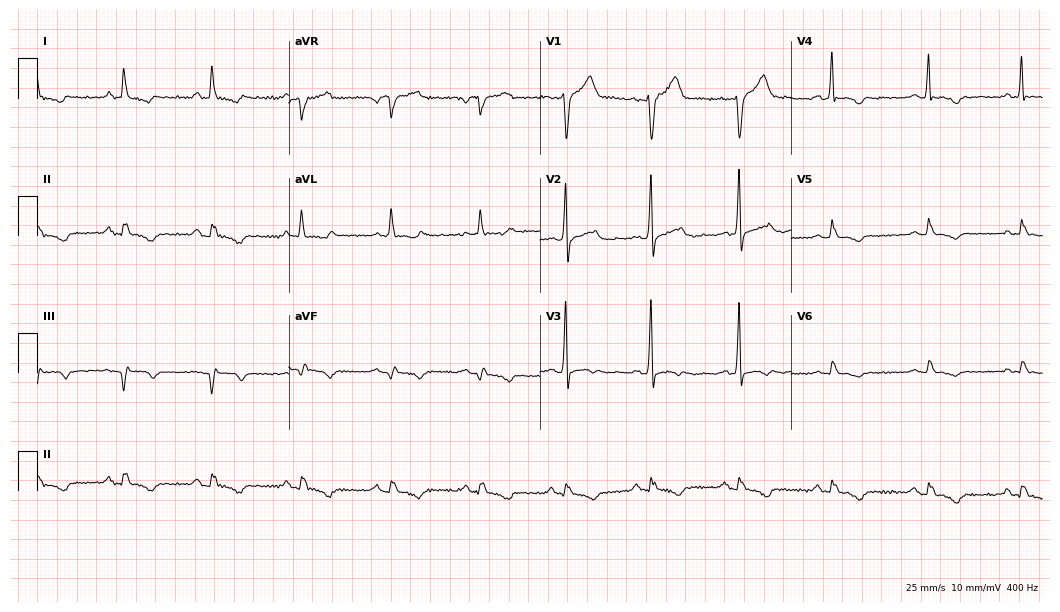
12-lead ECG from a man, 57 years old. No first-degree AV block, right bundle branch block, left bundle branch block, sinus bradycardia, atrial fibrillation or sinus tachycardia recorded for this tracing. Only these six findings were labelled.